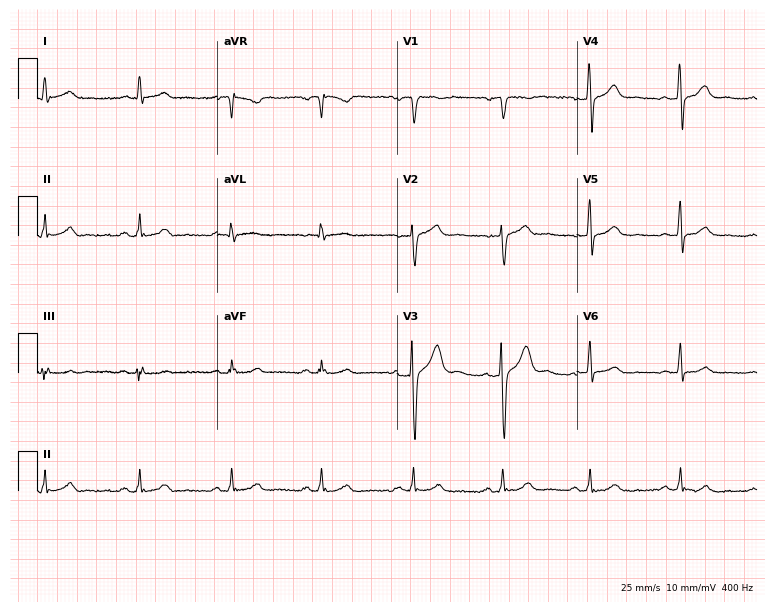
12-lead ECG from a male patient, 48 years old. Recorded interpretation: within normal limits.